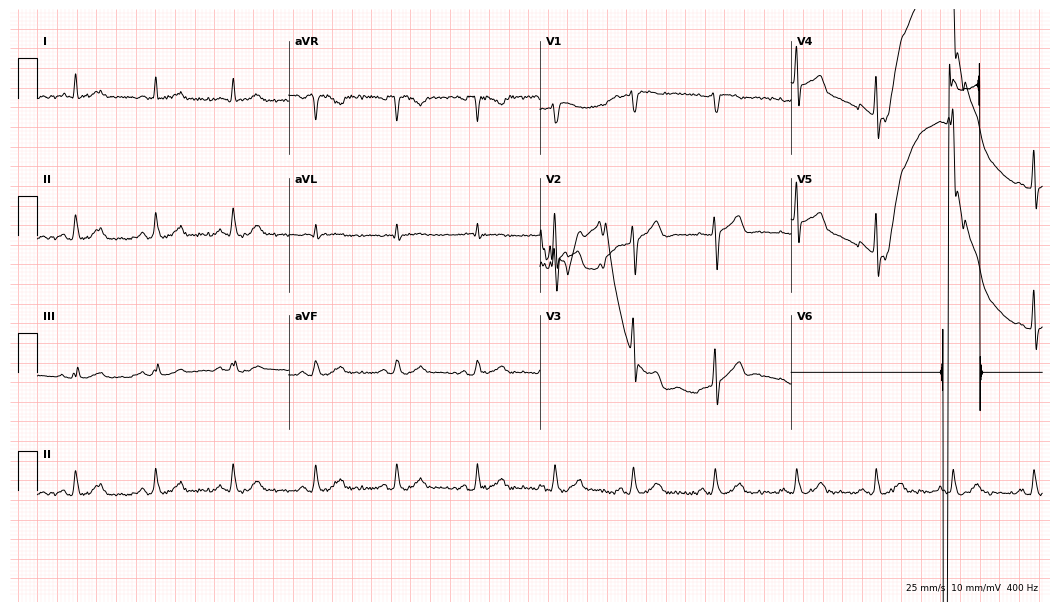
Standard 12-lead ECG recorded from a man, 54 years old. Read as a normal ECG.